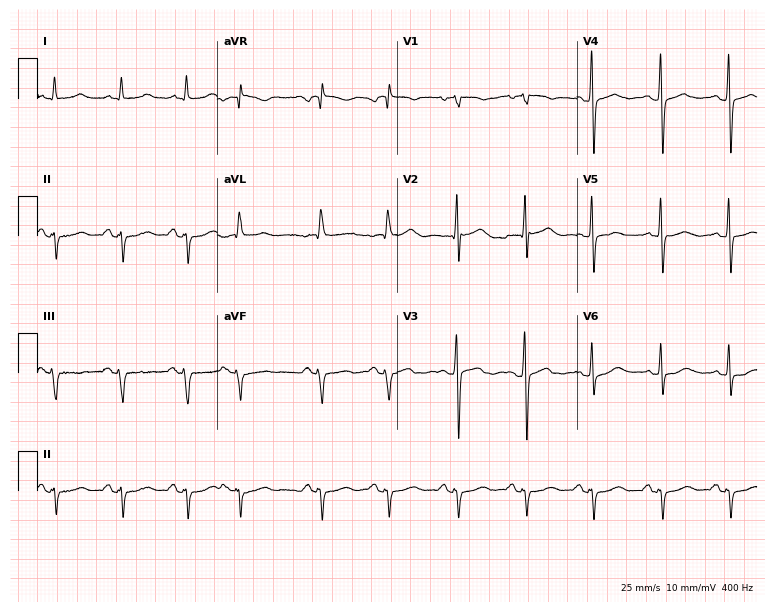
12-lead ECG from a man, 71 years old. No first-degree AV block, right bundle branch block (RBBB), left bundle branch block (LBBB), sinus bradycardia, atrial fibrillation (AF) or sinus tachycardia recorded for this tracing.